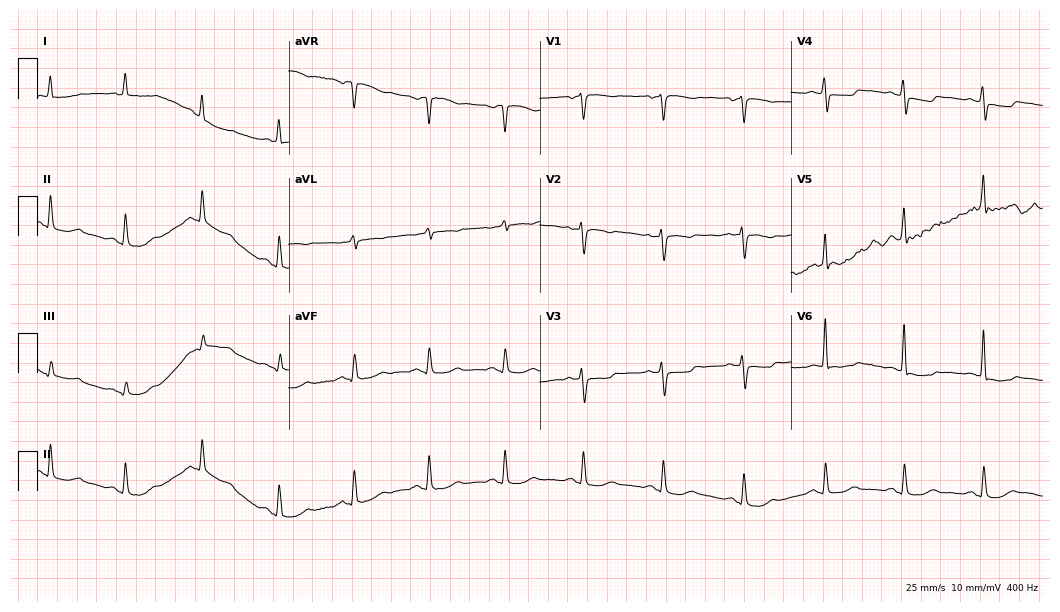
ECG (10.2-second recording at 400 Hz) — a female patient, 70 years old. Screened for six findings — first-degree AV block, right bundle branch block, left bundle branch block, sinus bradycardia, atrial fibrillation, sinus tachycardia — none is recorded.